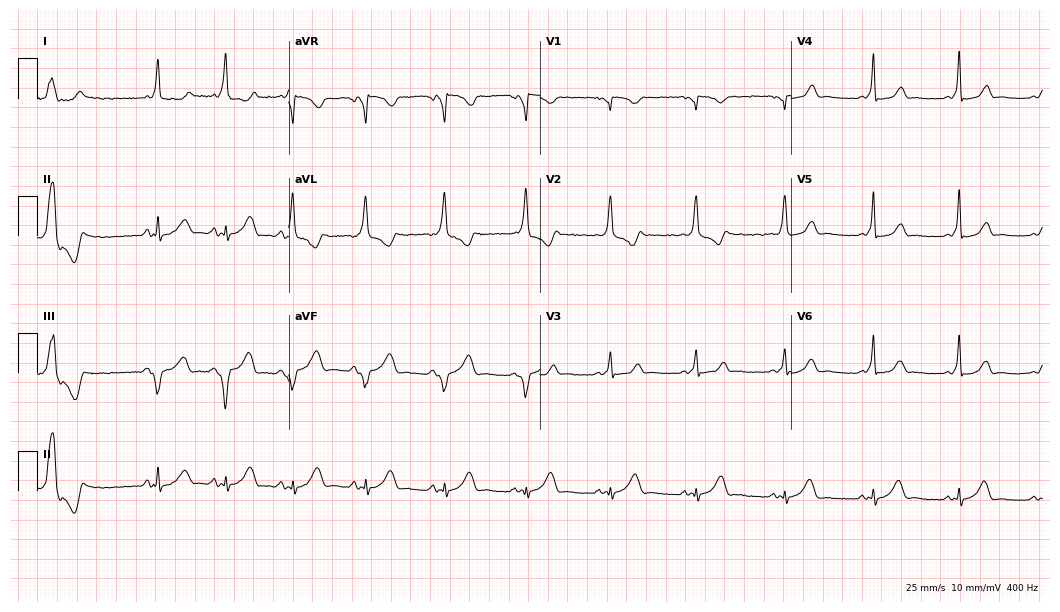
12-lead ECG from a woman, 40 years old (10.2-second recording at 400 Hz). No first-degree AV block, right bundle branch block, left bundle branch block, sinus bradycardia, atrial fibrillation or sinus tachycardia recorded for this tracing. Other findings, if any, are not listed.